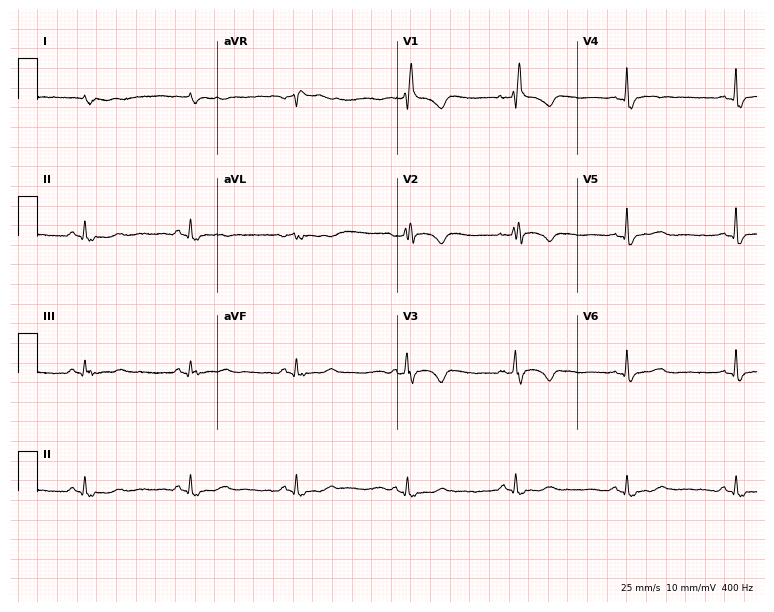
12-lead ECG from a man, 62 years old (7.3-second recording at 400 Hz). Shows right bundle branch block.